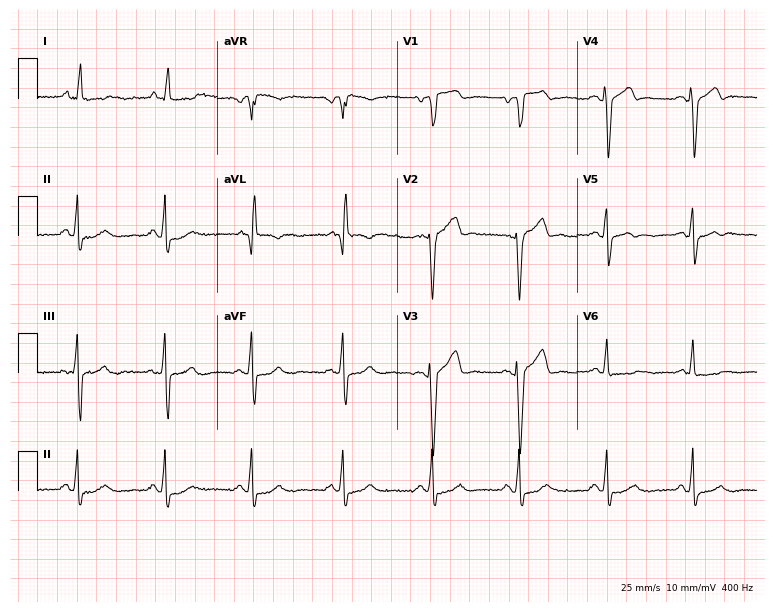
Electrocardiogram (7.3-second recording at 400 Hz), a male patient, 45 years old. Of the six screened findings (first-degree AV block, right bundle branch block (RBBB), left bundle branch block (LBBB), sinus bradycardia, atrial fibrillation (AF), sinus tachycardia), none is recorded.